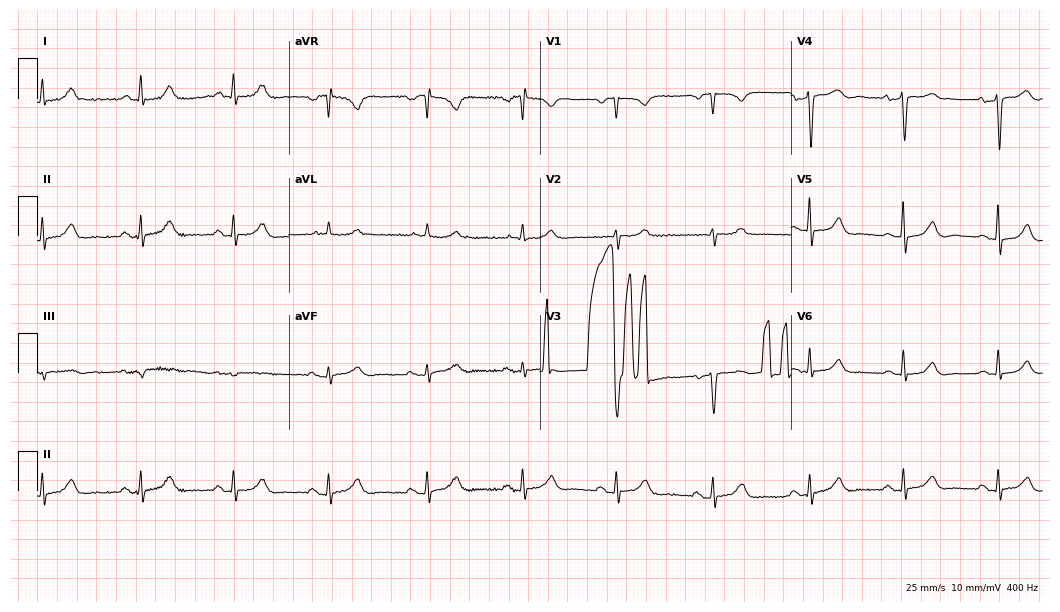
Resting 12-lead electrocardiogram. Patient: a female, 84 years old. None of these six findings is recorded: first-degree AV block, right bundle branch block, left bundle branch block, sinus bradycardia, atrial fibrillation, sinus tachycardia. Only these six findings were labelled.